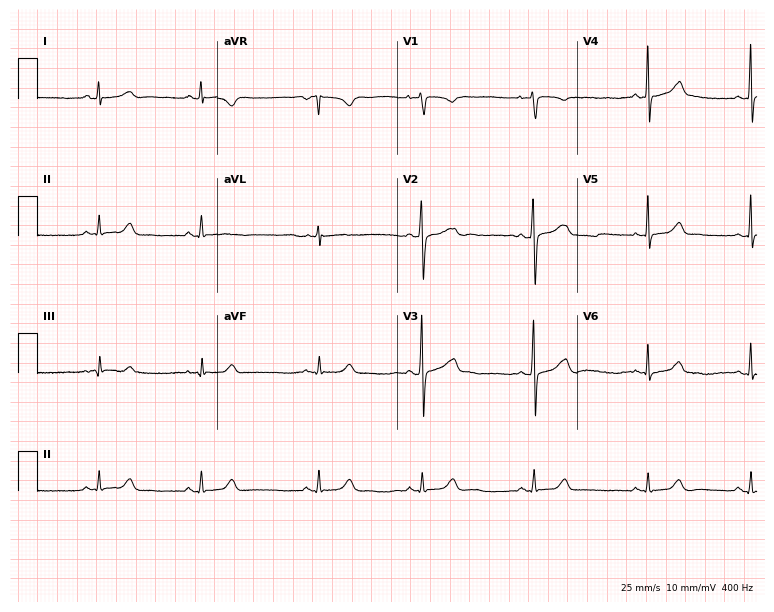
12-lead ECG from a woman, 22 years old. Screened for six findings — first-degree AV block, right bundle branch block (RBBB), left bundle branch block (LBBB), sinus bradycardia, atrial fibrillation (AF), sinus tachycardia — none is recorded. Only these six findings were labelled.